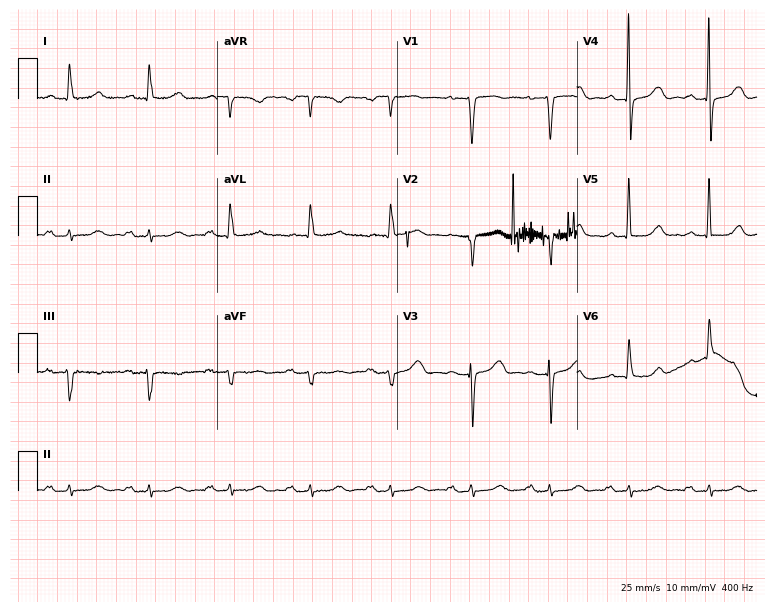
ECG (7.3-second recording at 400 Hz) — a female patient, 49 years old. Findings include first-degree AV block.